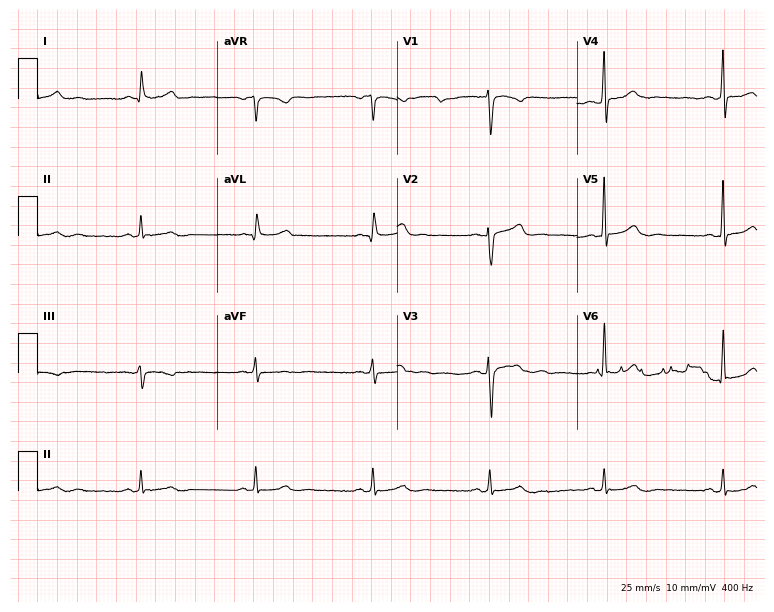
ECG (7.3-second recording at 400 Hz) — a 70-year-old male patient. Findings include sinus bradycardia (a sinus rate of 50 beats per minute or less).